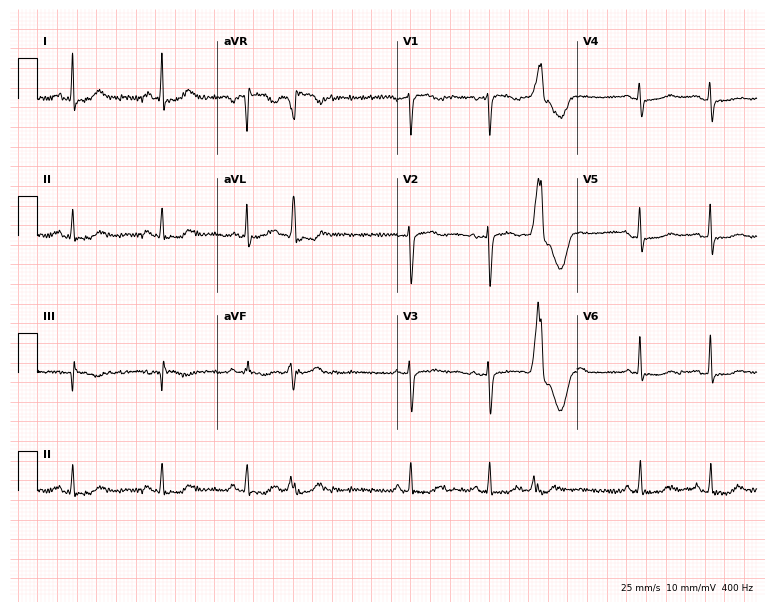
ECG — a 58-year-old female. Screened for six findings — first-degree AV block, right bundle branch block, left bundle branch block, sinus bradycardia, atrial fibrillation, sinus tachycardia — none is recorded. Other findings, if any, are not listed.